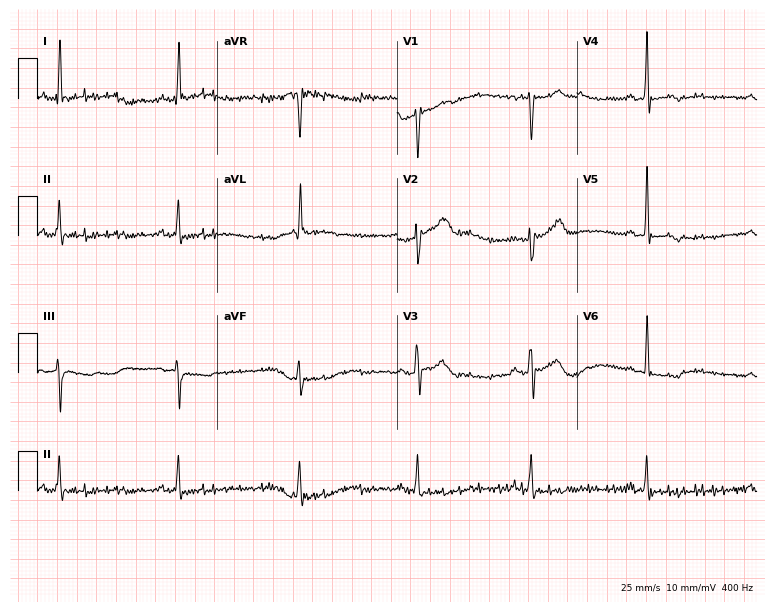
Resting 12-lead electrocardiogram. Patient: a 68-year-old male. None of these six findings is recorded: first-degree AV block, right bundle branch block, left bundle branch block, sinus bradycardia, atrial fibrillation, sinus tachycardia. Other findings, if any, are not listed.